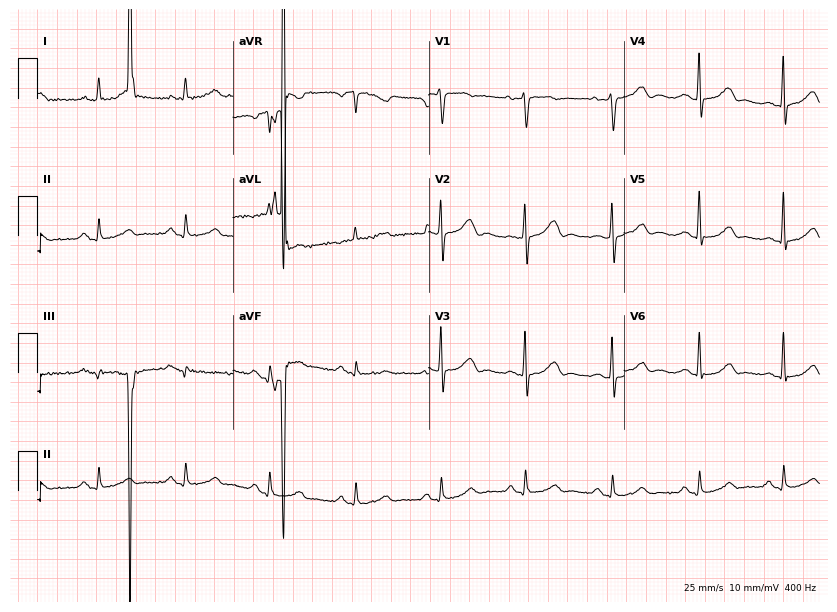
Standard 12-lead ECG recorded from a female patient, 71 years old (8-second recording at 400 Hz). None of these six findings is recorded: first-degree AV block, right bundle branch block (RBBB), left bundle branch block (LBBB), sinus bradycardia, atrial fibrillation (AF), sinus tachycardia. Findings outside these six are not listed.